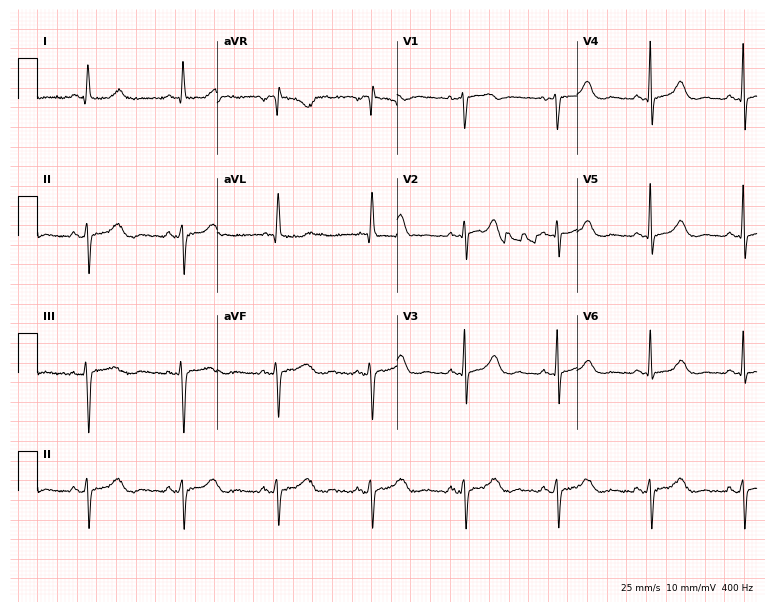
12-lead ECG from a 75-year-old female (7.3-second recording at 400 Hz). No first-degree AV block, right bundle branch block (RBBB), left bundle branch block (LBBB), sinus bradycardia, atrial fibrillation (AF) or sinus tachycardia recorded for this tracing.